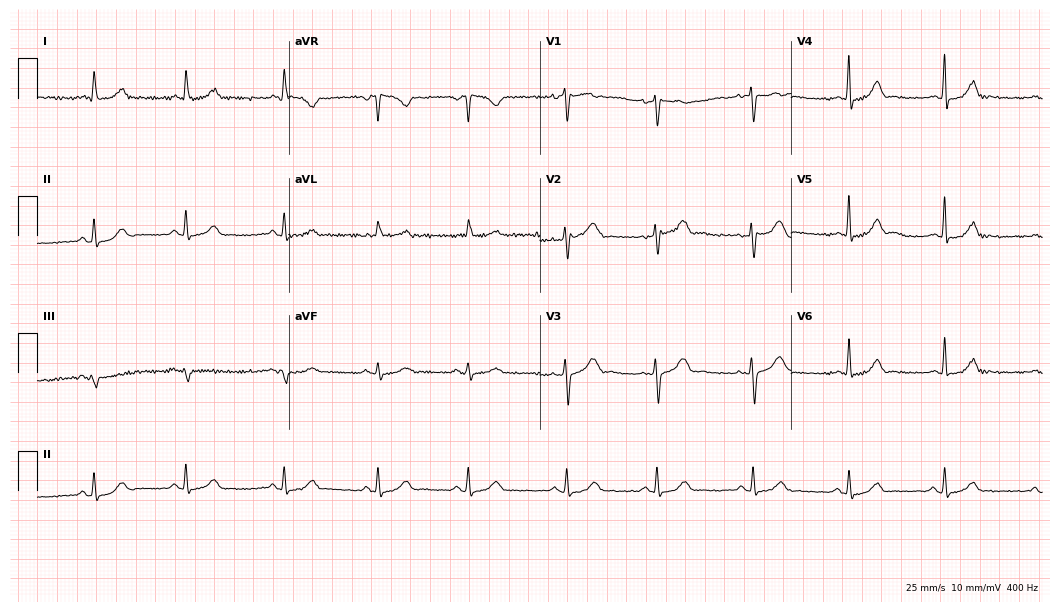
ECG (10.2-second recording at 400 Hz) — a 36-year-old woman. Labelled as a normal ECG.